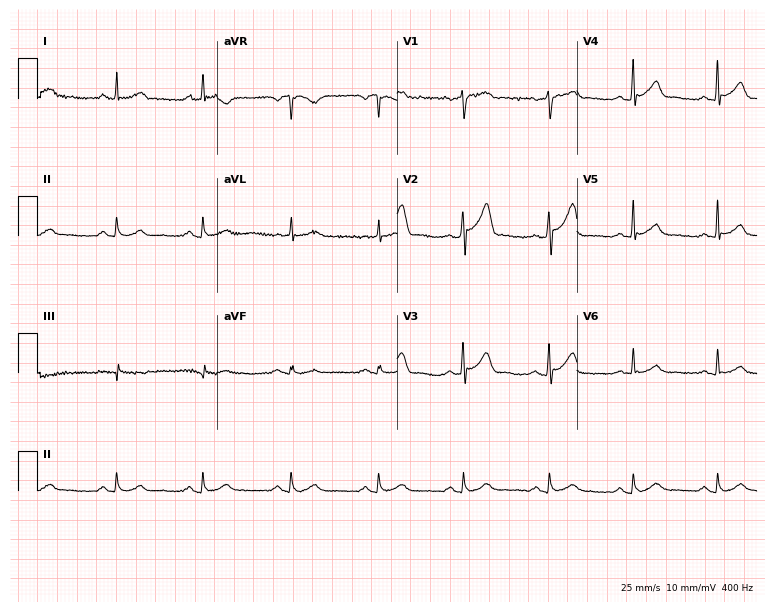
ECG — a 48-year-old male. Screened for six findings — first-degree AV block, right bundle branch block, left bundle branch block, sinus bradycardia, atrial fibrillation, sinus tachycardia — none is recorded. Findings outside these six are not listed.